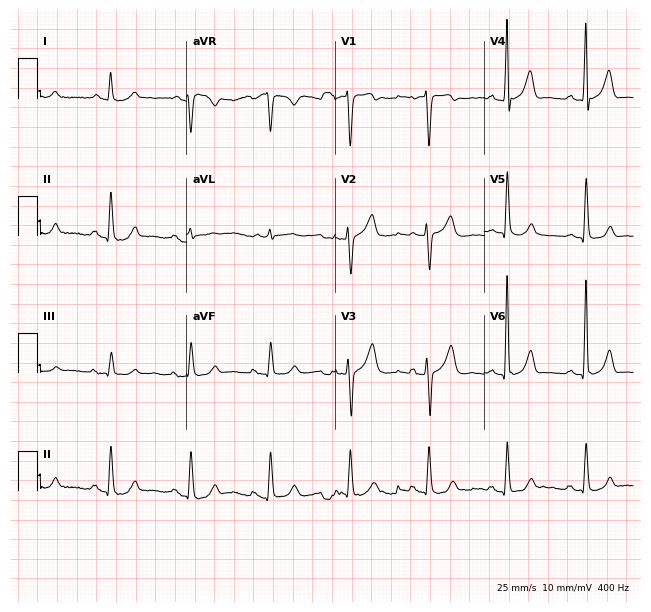
Resting 12-lead electrocardiogram. Patient: a 65-year-old male. Read as a normal ECG.